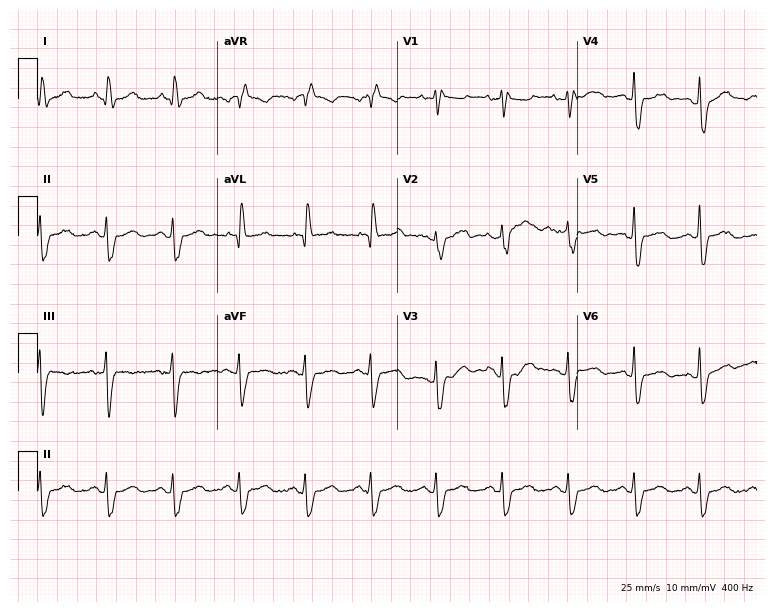
Resting 12-lead electrocardiogram (7.3-second recording at 400 Hz). Patient: an 85-year-old male. The tracing shows right bundle branch block.